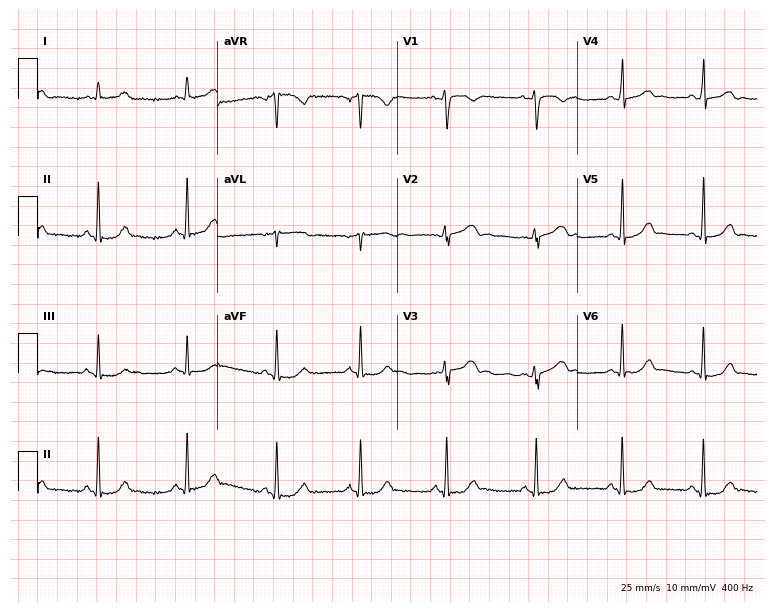
12-lead ECG from a woman, 22 years old. Labelled as a normal ECG.